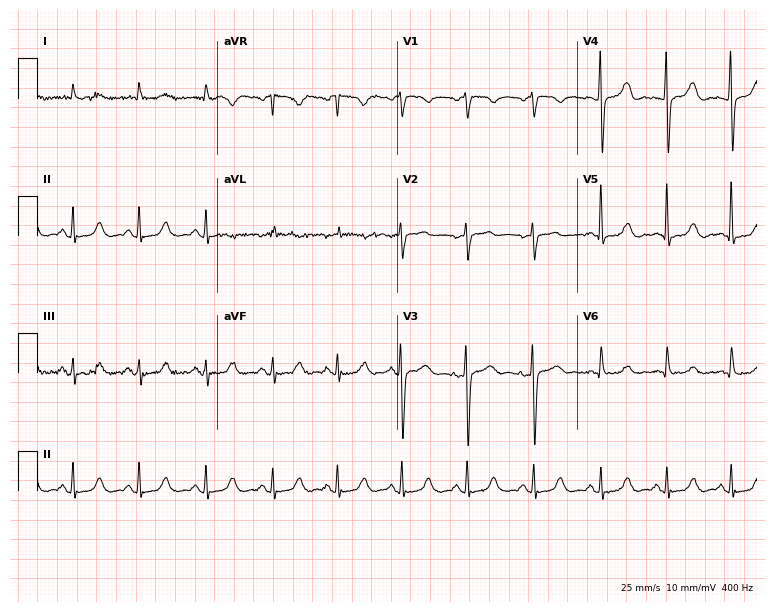
Standard 12-lead ECG recorded from a 79-year-old female patient. None of these six findings is recorded: first-degree AV block, right bundle branch block, left bundle branch block, sinus bradycardia, atrial fibrillation, sinus tachycardia.